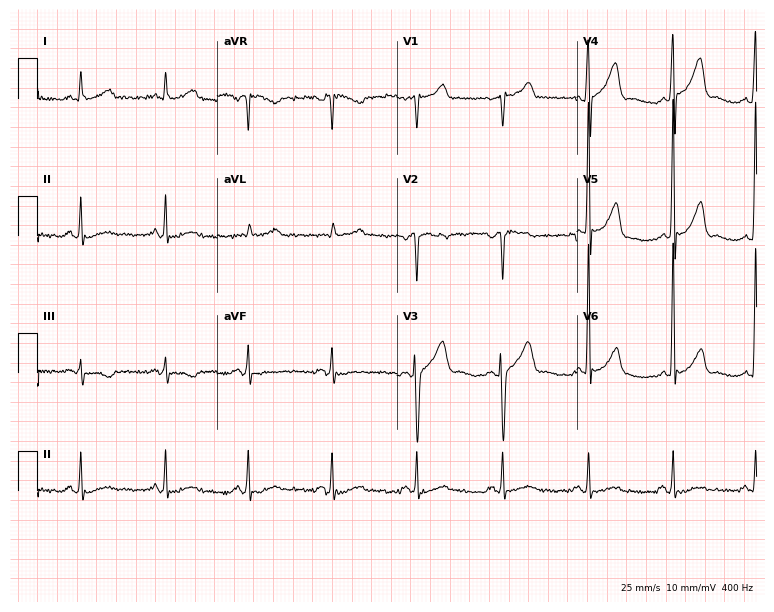
ECG — a male patient, 40 years old. Labelled as a normal ECG.